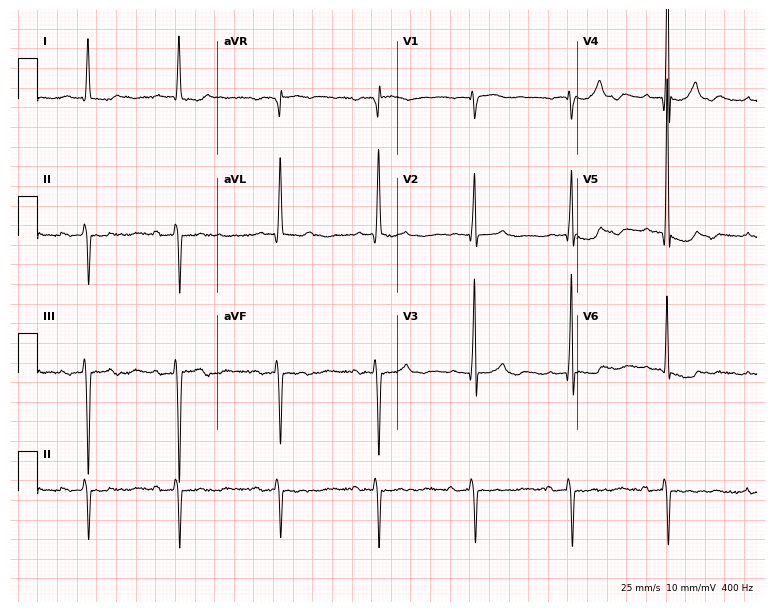
Standard 12-lead ECG recorded from an 81-year-old man (7.3-second recording at 400 Hz). None of these six findings is recorded: first-degree AV block, right bundle branch block, left bundle branch block, sinus bradycardia, atrial fibrillation, sinus tachycardia. Findings outside these six are not listed.